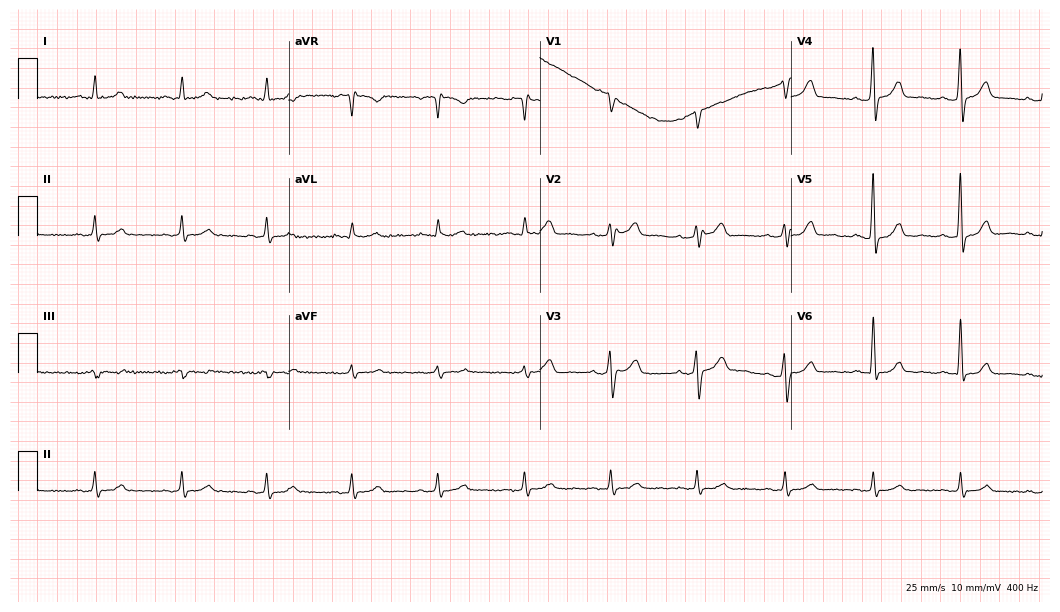
ECG (10.2-second recording at 400 Hz) — a man, 58 years old. Labelled as a normal ECG.